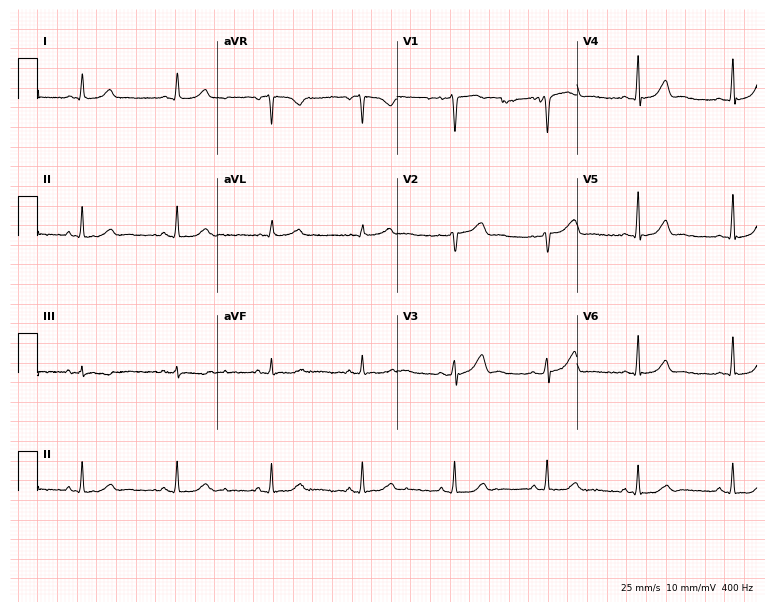
Resting 12-lead electrocardiogram. Patient: a 46-year-old woman. Read as a normal ECG.